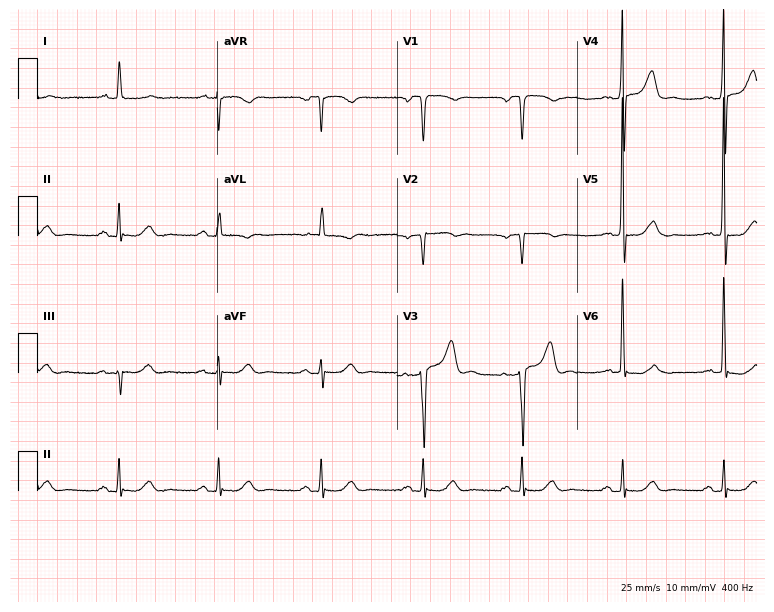
12-lead ECG from a man, 67 years old. Screened for six findings — first-degree AV block, right bundle branch block, left bundle branch block, sinus bradycardia, atrial fibrillation, sinus tachycardia — none is recorded.